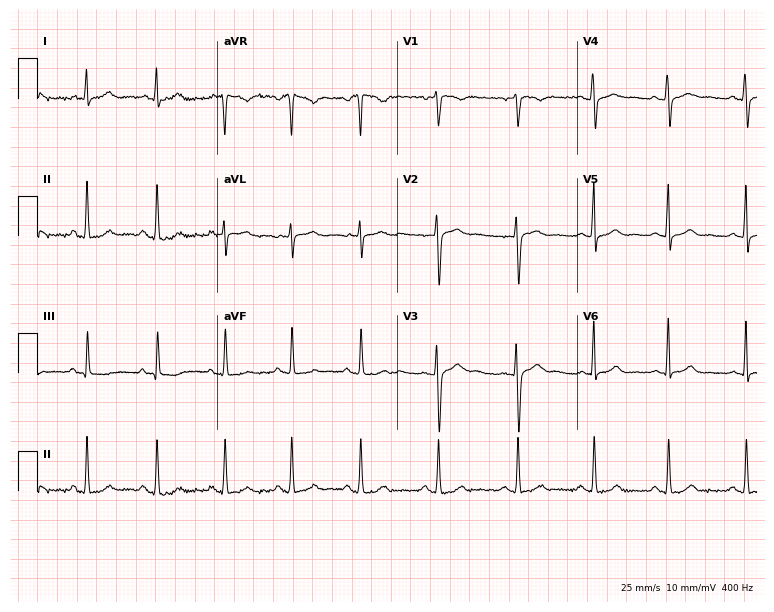
12-lead ECG from a 25-year-old female patient (7.3-second recording at 400 Hz). Recorded interpretation: within normal limits.